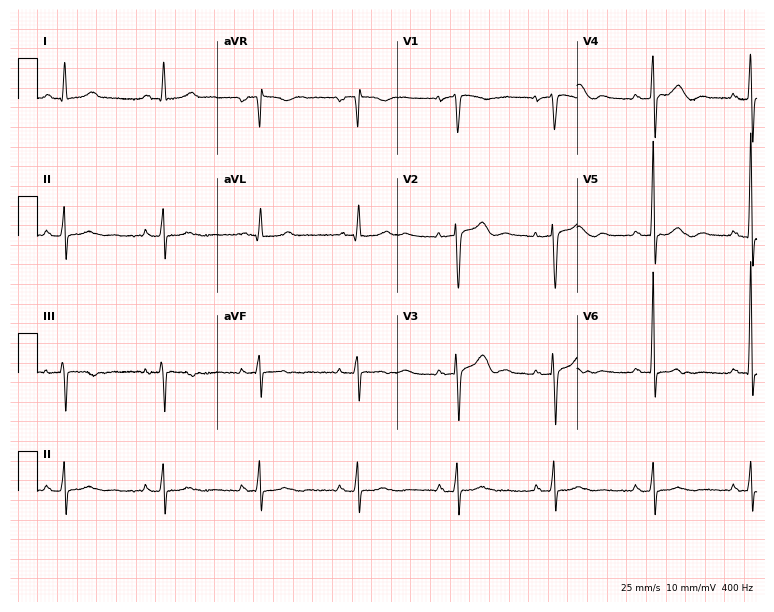
Standard 12-lead ECG recorded from a 78-year-old female (7.3-second recording at 400 Hz). Read as a normal ECG.